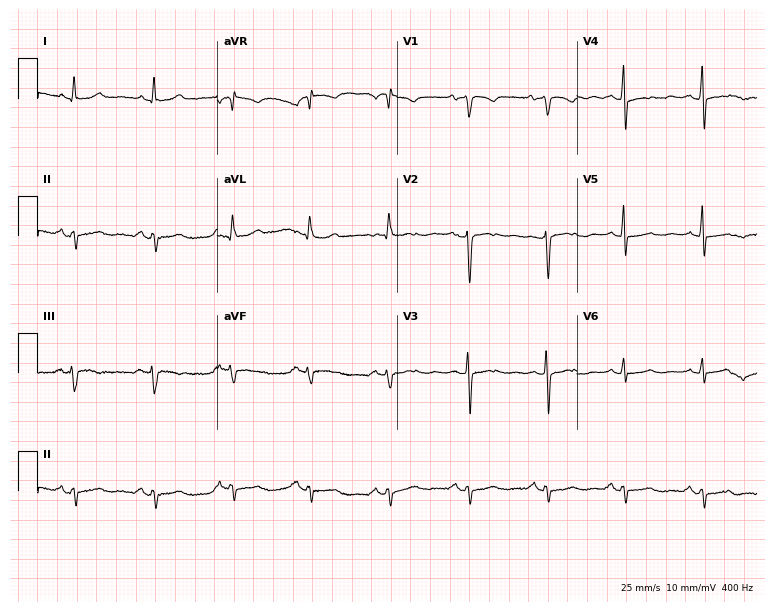
12-lead ECG from a female patient, 65 years old. No first-degree AV block, right bundle branch block (RBBB), left bundle branch block (LBBB), sinus bradycardia, atrial fibrillation (AF) or sinus tachycardia recorded for this tracing. Other findings, if any, are not listed.